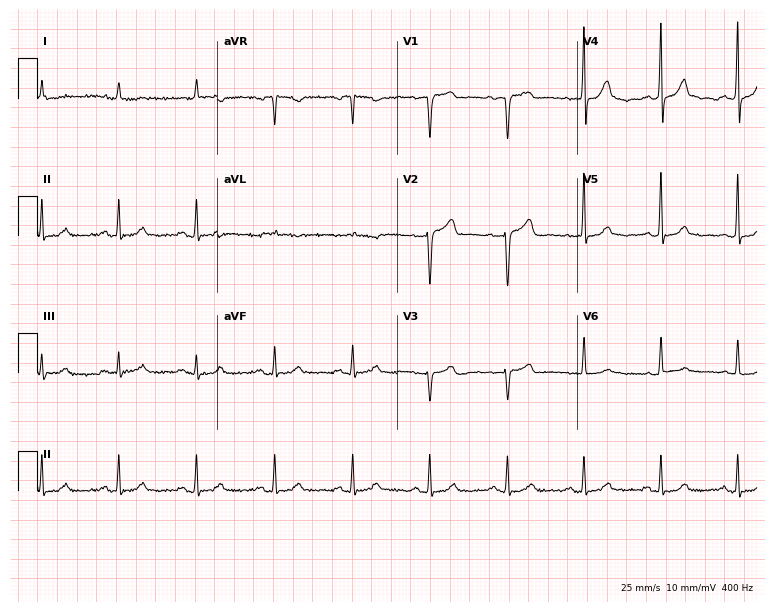
Electrocardiogram (7.3-second recording at 400 Hz), a 73-year-old male. Overall reading on record: normal ECG.